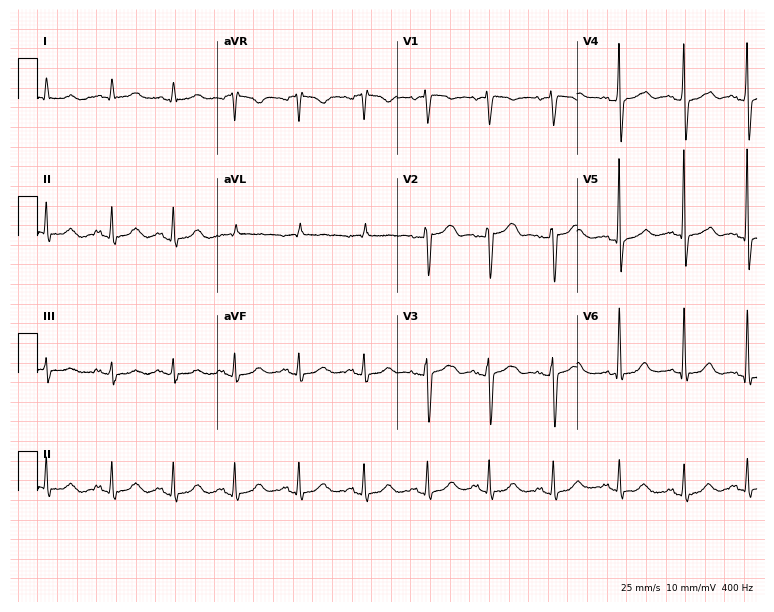
Standard 12-lead ECG recorded from a 61-year-old female. None of these six findings is recorded: first-degree AV block, right bundle branch block, left bundle branch block, sinus bradycardia, atrial fibrillation, sinus tachycardia.